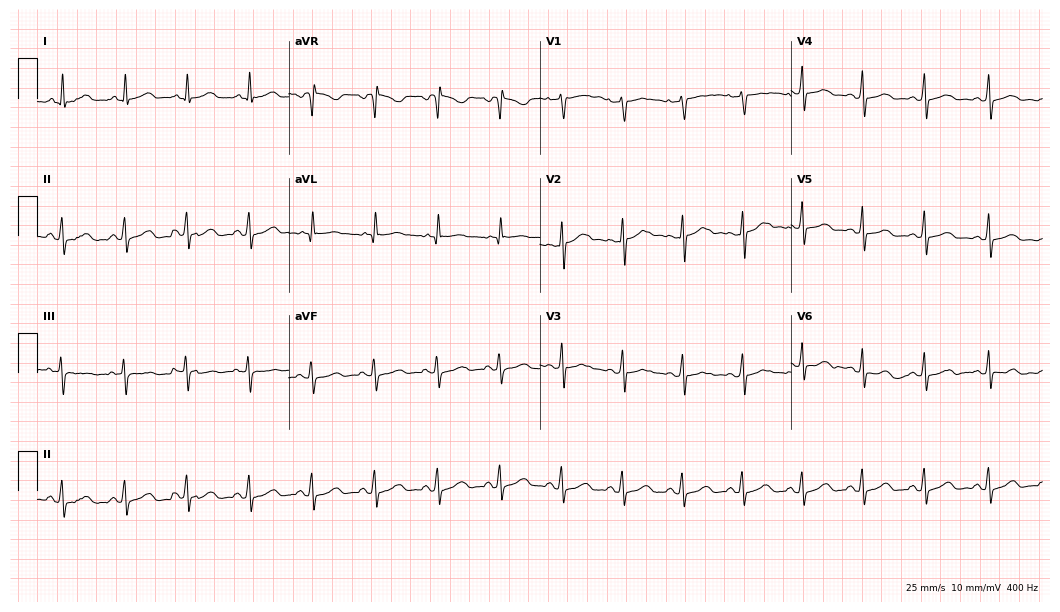
Resting 12-lead electrocardiogram (10.2-second recording at 400 Hz). Patient: a woman, 37 years old. Read as a normal ECG.